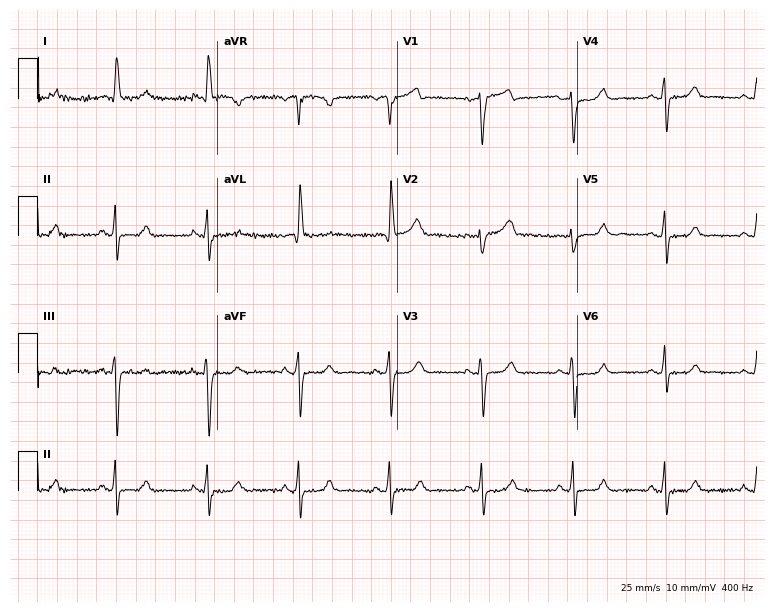
ECG — a female, 74 years old. Labelled as a normal ECG.